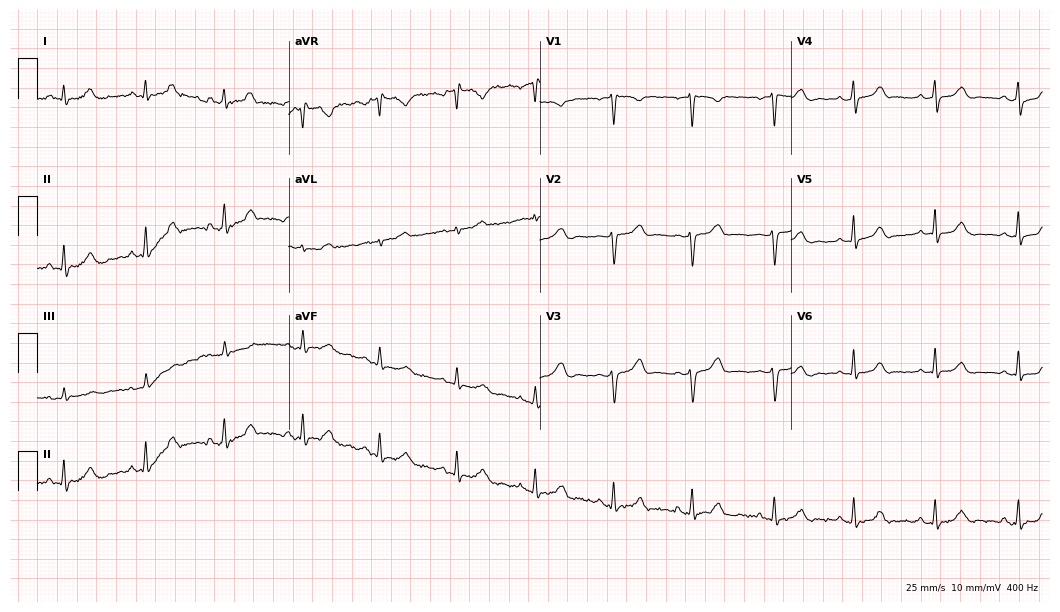
12-lead ECG from a 34-year-old female. Recorded interpretation: within normal limits.